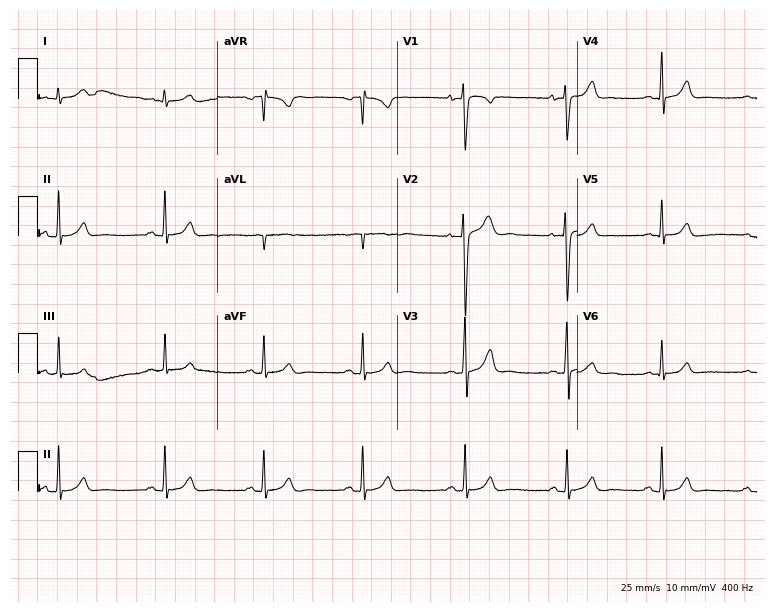
12-lead ECG (7.3-second recording at 400 Hz) from a 28-year-old male patient. Labelled as a normal ECG.